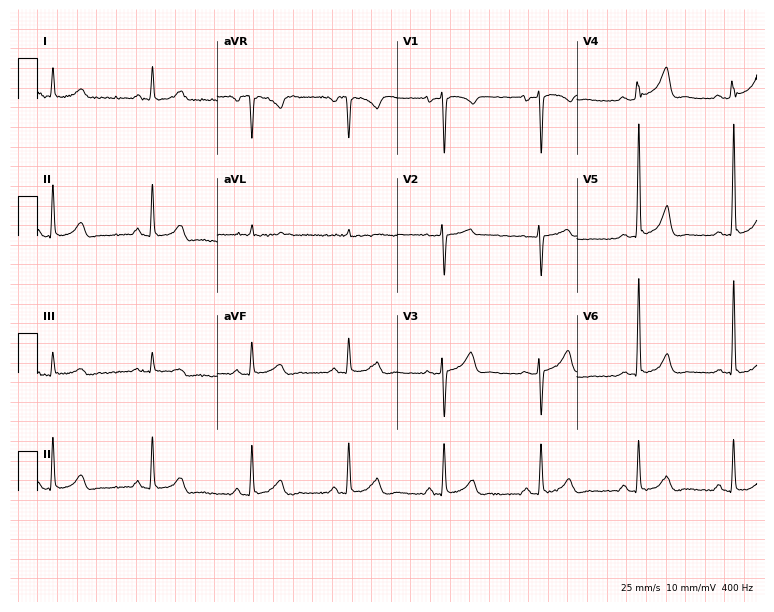
12-lead ECG (7.3-second recording at 400 Hz) from a 60-year-old man. Screened for six findings — first-degree AV block, right bundle branch block, left bundle branch block, sinus bradycardia, atrial fibrillation, sinus tachycardia — none is recorded. Other findings, if any, are not listed.